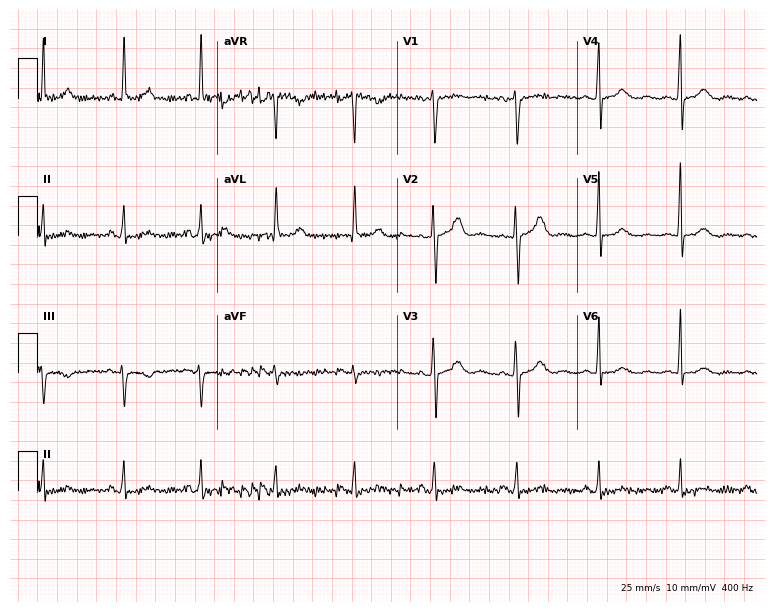
Standard 12-lead ECG recorded from a 47-year-old female patient. None of these six findings is recorded: first-degree AV block, right bundle branch block, left bundle branch block, sinus bradycardia, atrial fibrillation, sinus tachycardia.